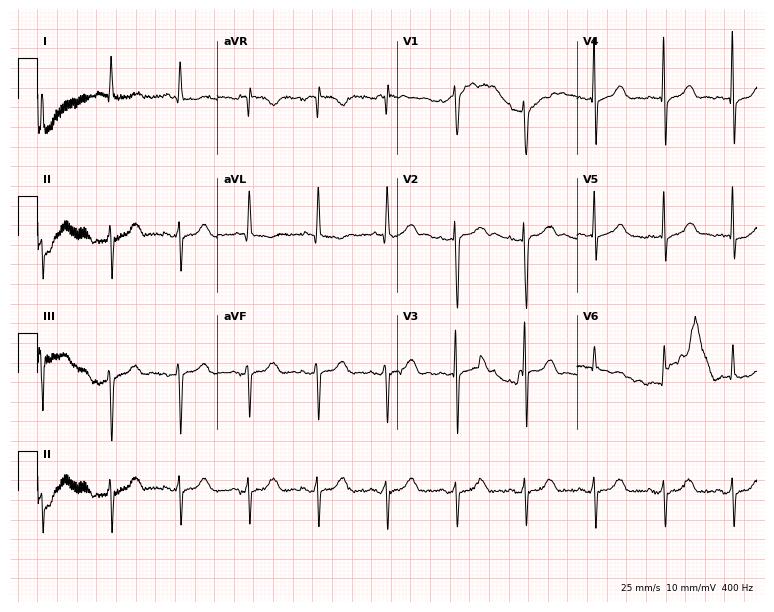
12-lead ECG from a woman, 83 years old (7.3-second recording at 400 Hz). No first-degree AV block, right bundle branch block (RBBB), left bundle branch block (LBBB), sinus bradycardia, atrial fibrillation (AF) or sinus tachycardia recorded for this tracing.